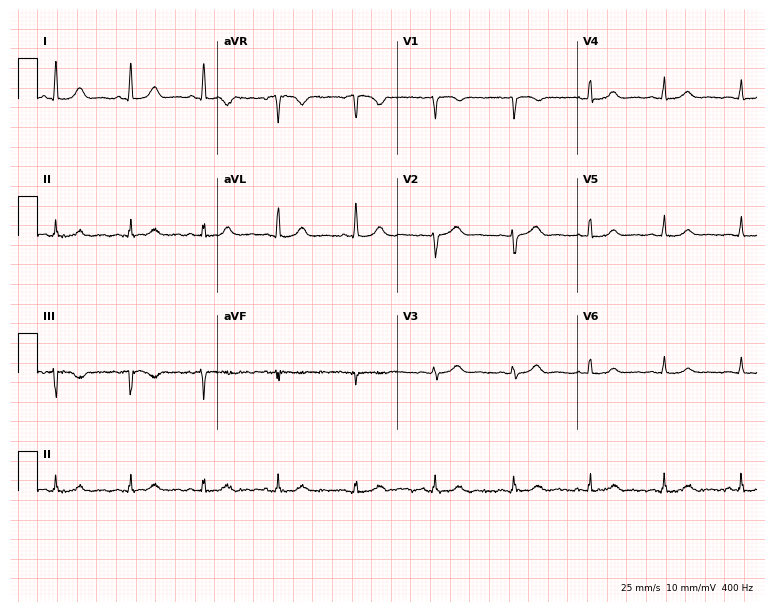
12-lead ECG from a female patient, 51 years old (7.3-second recording at 400 Hz). Recorded interpretation: within normal limits.